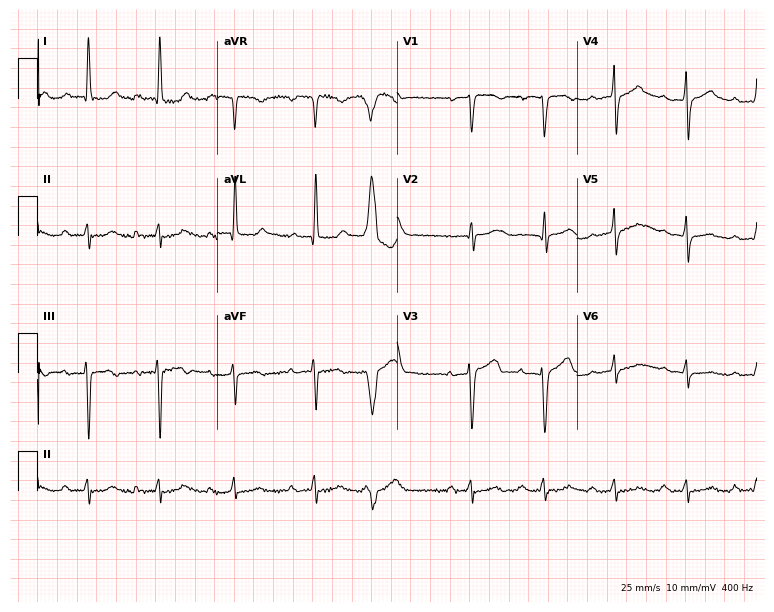
12-lead ECG from a woman, 69 years old. No first-degree AV block, right bundle branch block, left bundle branch block, sinus bradycardia, atrial fibrillation or sinus tachycardia recorded for this tracing.